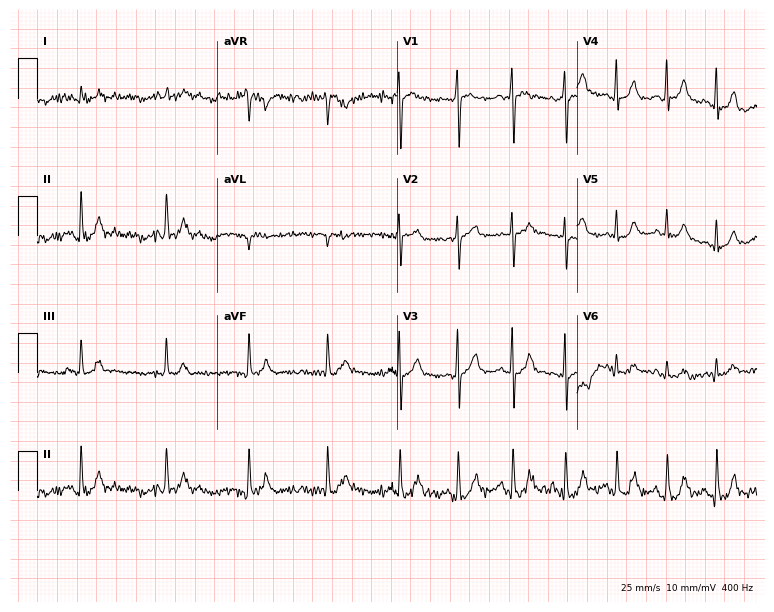
Electrocardiogram (7.3-second recording at 400 Hz), a male, 25 years old. Of the six screened findings (first-degree AV block, right bundle branch block, left bundle branch block, sinus bradycardia, atrial fibrillation, sinus tachycardia), none is recorded. Only these six findings were labelled.